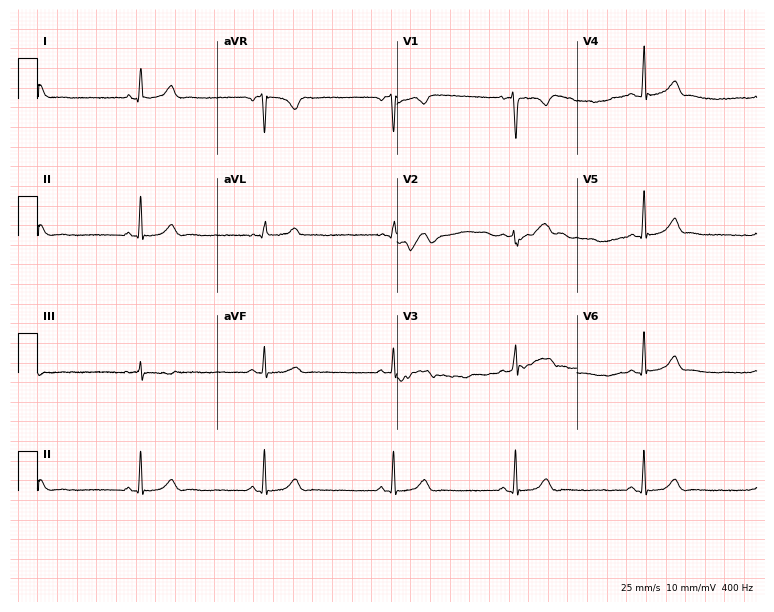
Resting 12-lead electrocardiogram. Patient: a 20-year-old female. The tracing shows sinus bradycardia (a sinus rate of 50 beats per minute or less).